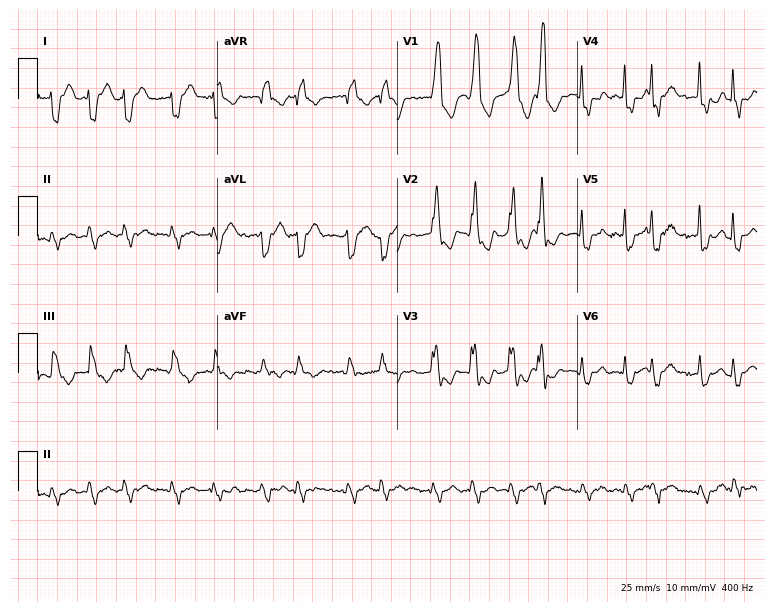
Resting 12-lead electrocardiogram. Patient: a woman, 67 years old. None of these six findings is recorded: first-degree AV block, right bundle branch block, left bundle branch block, sinus bradycardia, atrial fibrillation, sinus tachycardia.